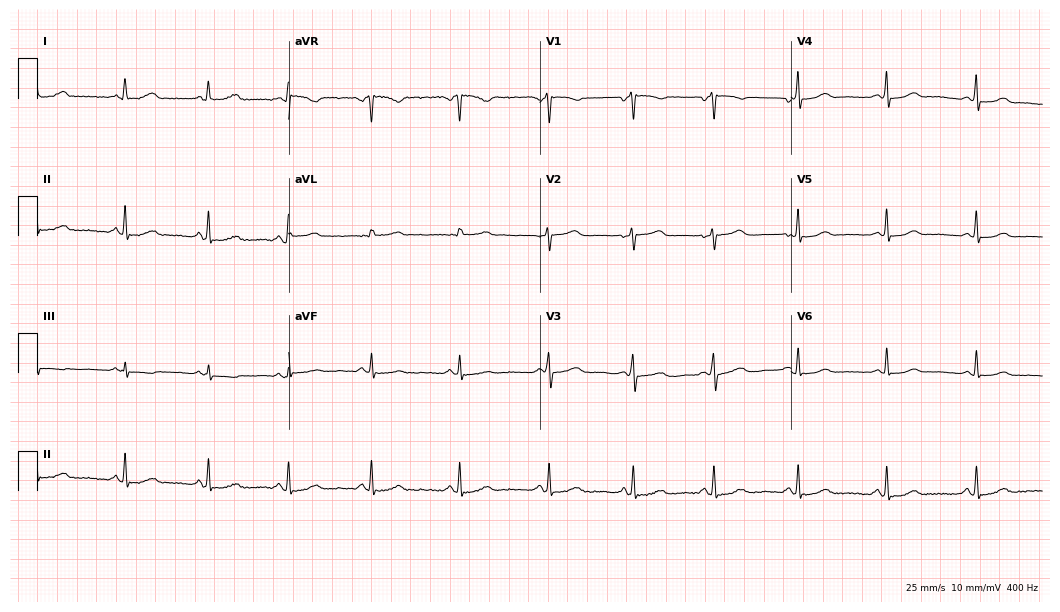
Resting 12-lead electrocardiogram (10.2-second recording at 400 Hz). Patient: a woman, 41 years old. Read as a normal ECG.